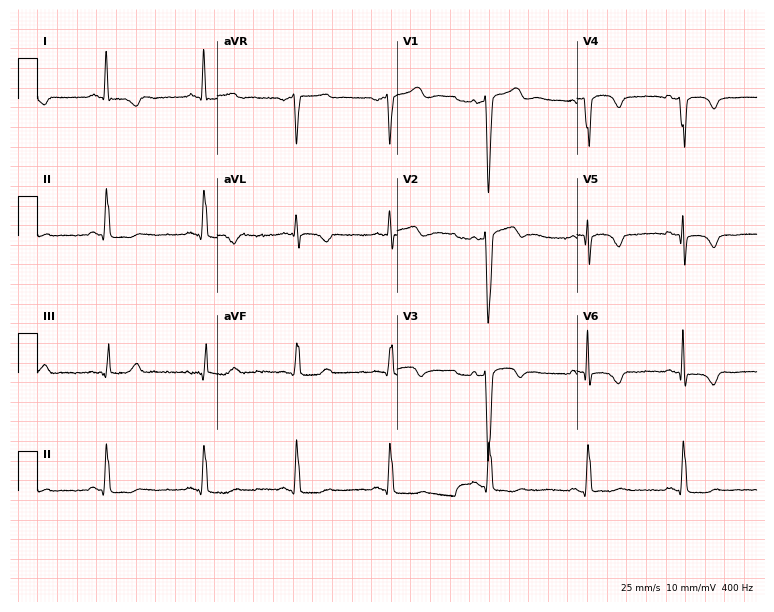
Resting 12-lead electrocardiogram (7.3-second recording at 400 Hz). Patient: a female, 77 years old. Read as a normal ECG.